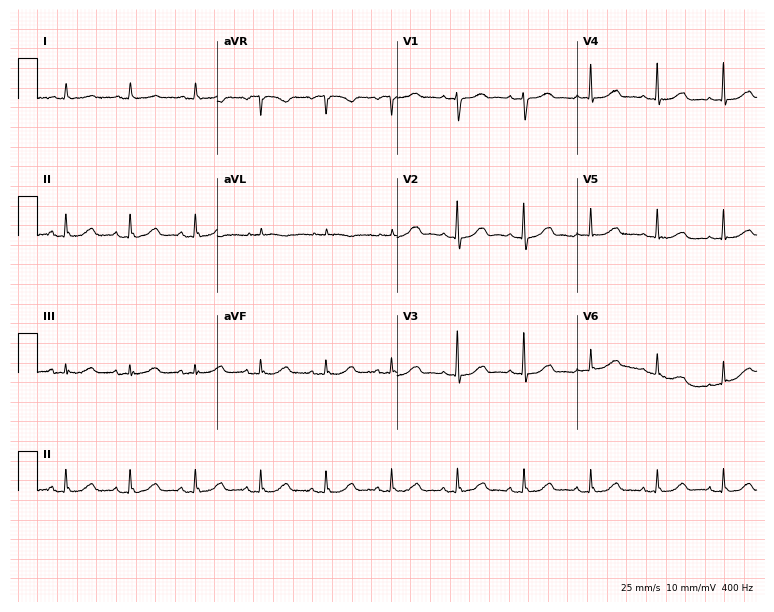
Electrocardiogram (7.3-second recording at 400 Hz), a female patient, 85 years old. Overall reading on record: normal ECG.